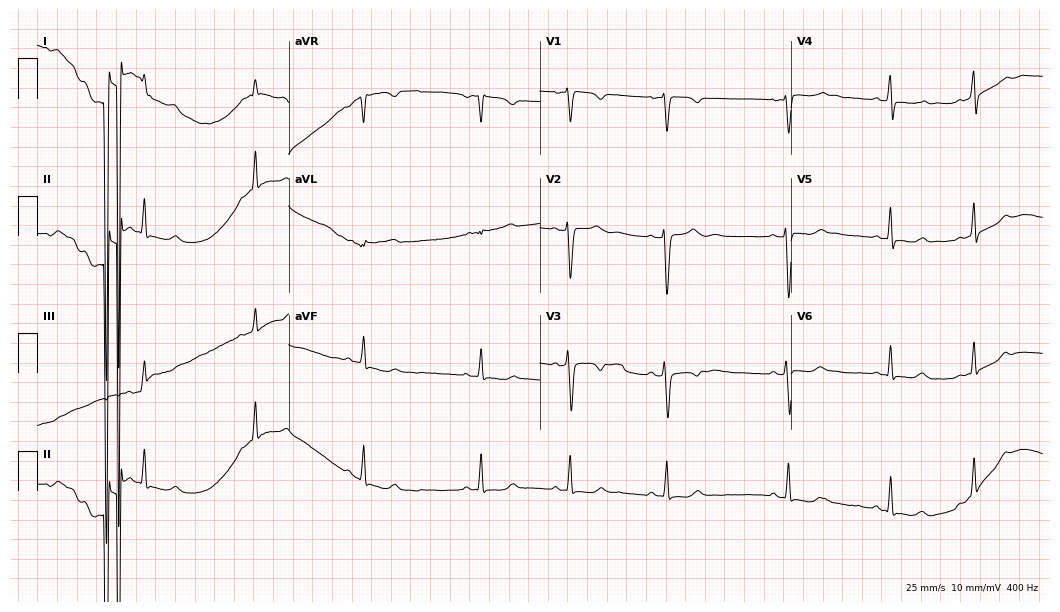
12-lead ECG from a female, 31 years old (10.2-second recording at 400 Hz). No first-degree AV block, right bundle branch block, left bundle branch block, sinus bradycardia, atrial fibrillation or sinus tachycardia recorded for this tracing. Only these six findings were labelled.